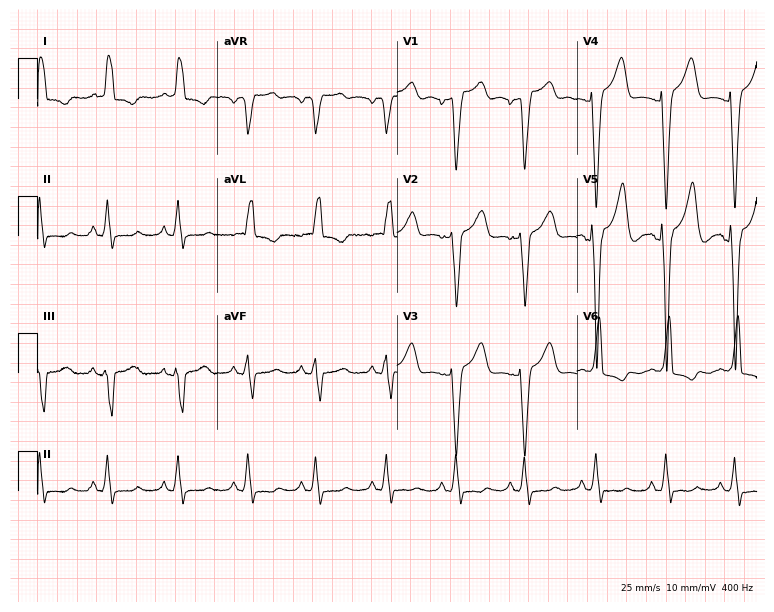
Electrocardiogram, a female patient, 78 years old. Interpretation includes left bundle branch block (LBBB).